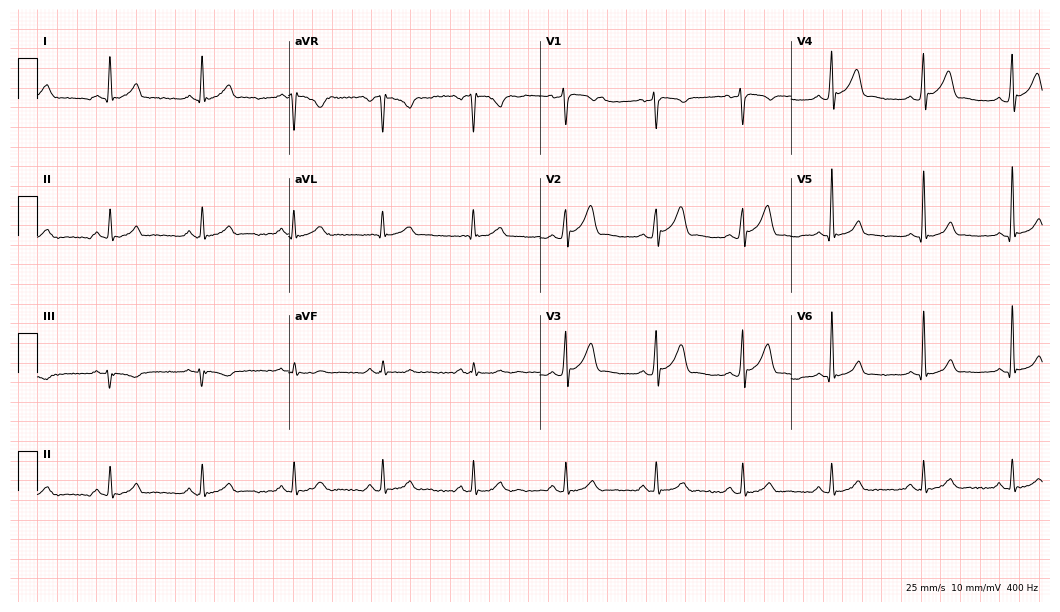
12-lead ECG (10.2-second recording at 400 Hz) from a man, 44 years old. Labelled as a normal ECG.